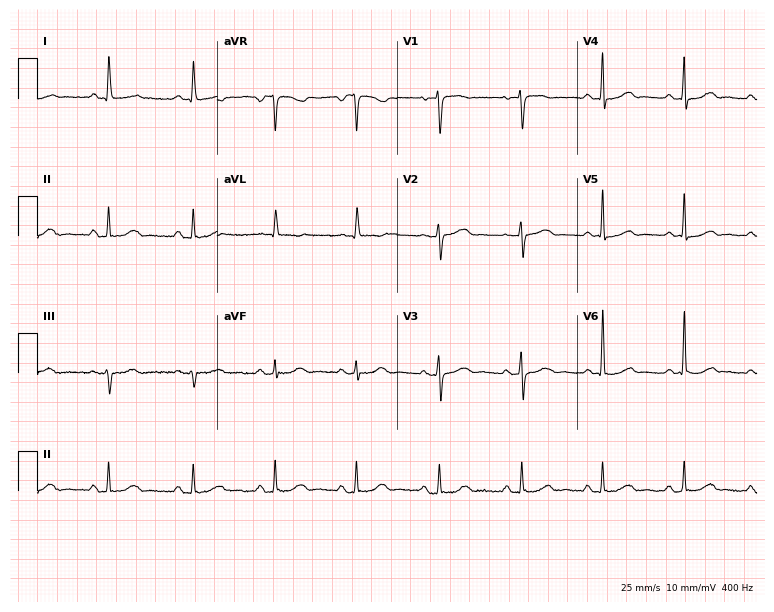
Standard 12-lead ECG recorded from a 69-year-old woman (7.3-second recording at 400 Hz). Read as a normal ECG.